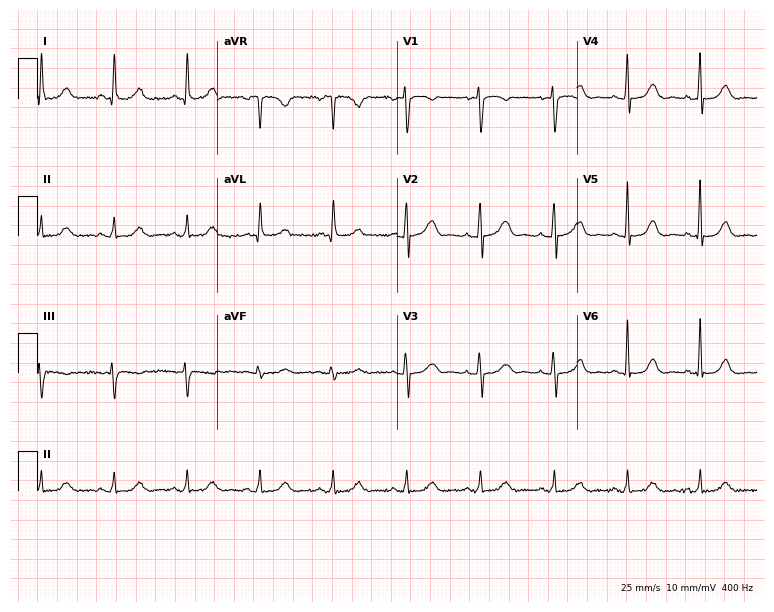
12-lead ECG (7.3-second recording at 400 Hz) from a 71-year-old female. Labelled as a normal ECG.